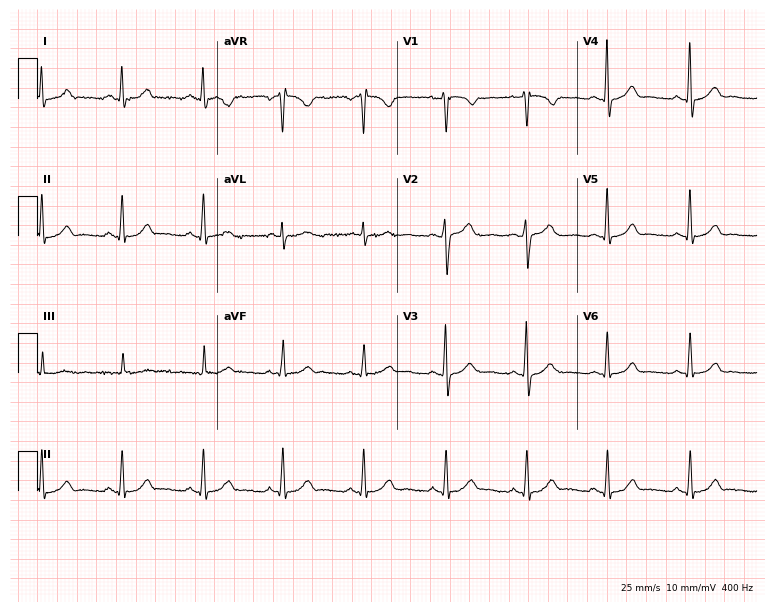
12-lead ECG from a female, 46 years old. Recorded interpretation: within normal limits.